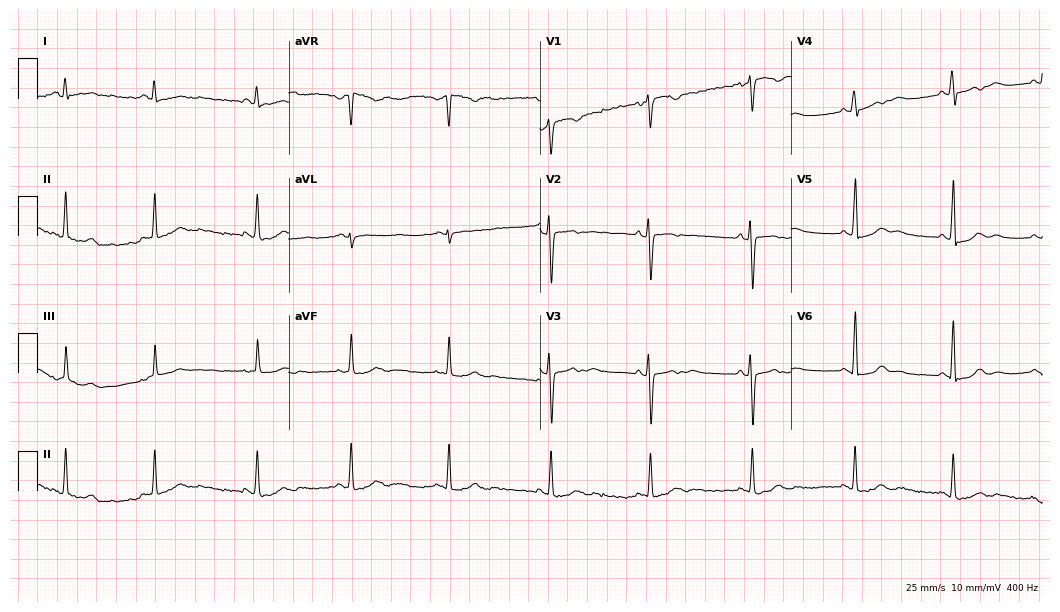
ECG (10.2-second recording at 400 Hz) — a 27-year-old female. Labelled as a normal ECG.